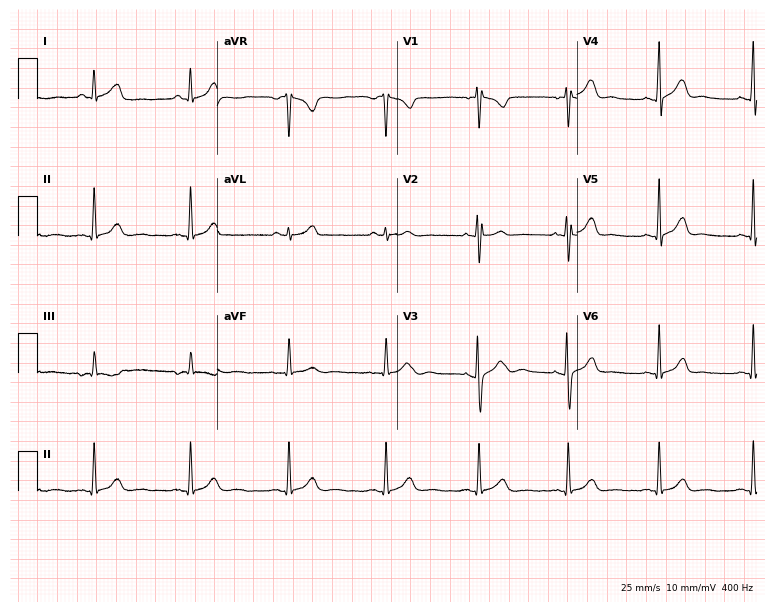
Electrocardiogram, a woman, 28 years old. Of the six screened findings (first-degree AV block, right bundle branch block, left bundle branch block, sinus bradycardia, atrial fibrillation, sinus tachycardia), none is recorded.